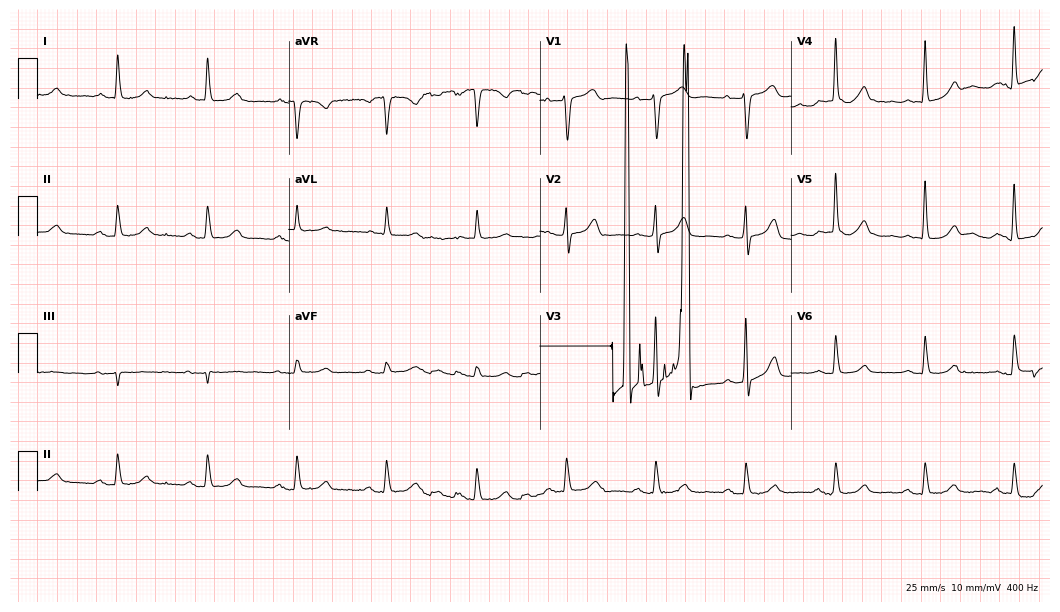
Electrocardiogram, an 85-year-old female patient. Of the six screened findings (first-degree AV block, right bundle branch block (RBBB), left bundle branch block (LBBB), sinus bradycardia, atrial fibrillation (AF), sinus tachycardia), none is recorded. Only these six findings were labelled.